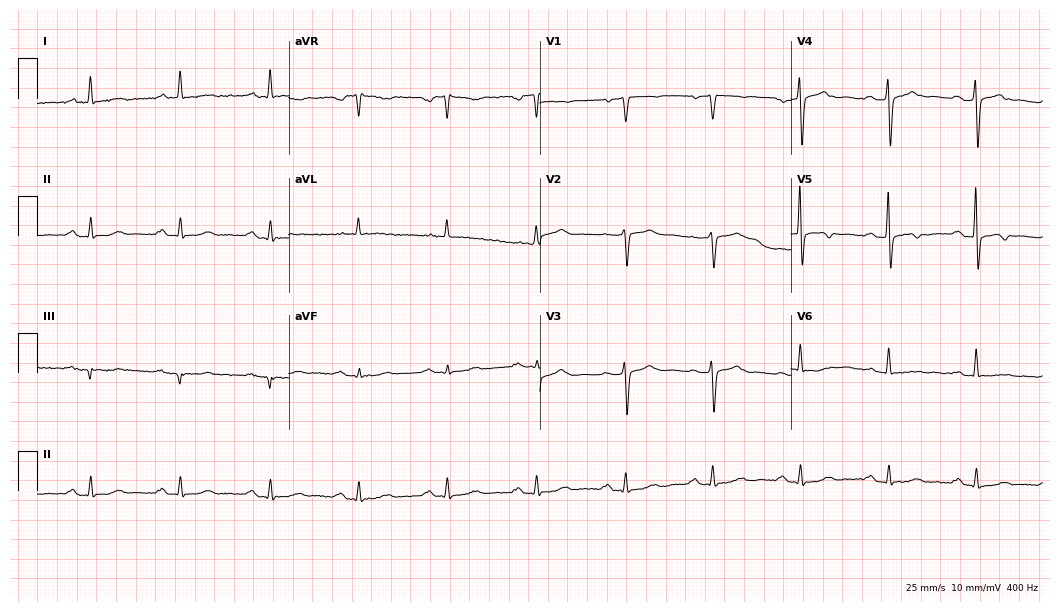
Resting 12-lead electrocardiogram. Patient: a man, 75 years old. None of these six findings is recorded: first-degree AV block, right bundle branch block (RBBB), left bundle branch block (LBBB), sinus bradycardia, atrial fibrillation (AF), sinus tachycardia. Only these six findings were labelled.